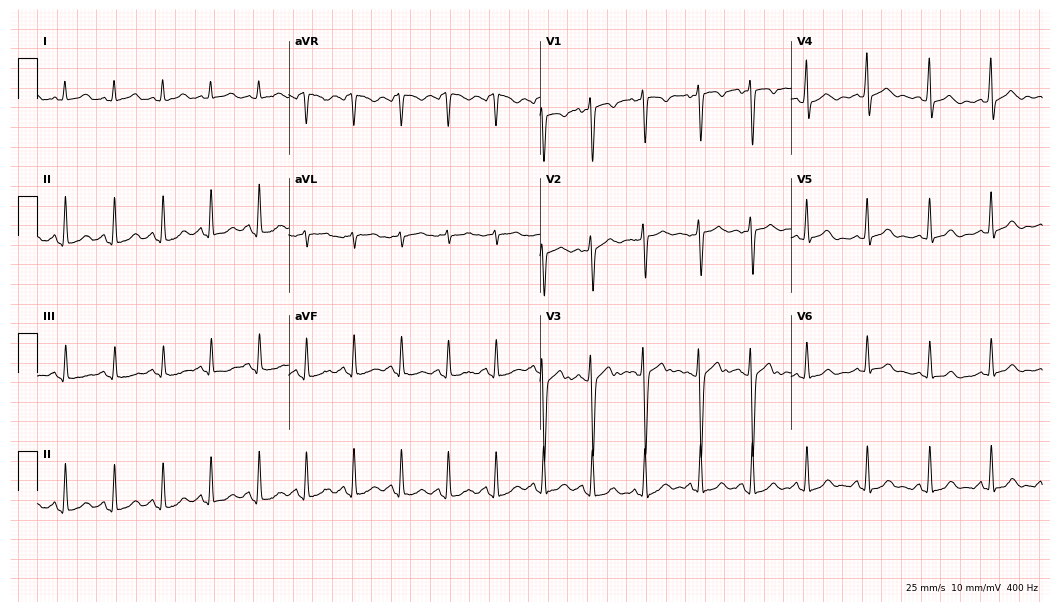
Resting 12-lead electrocardiogram. Patient: a 20-year-old female. The tracing shows sinus tachycardia (a sinus rate of 100 beats per minute or more).